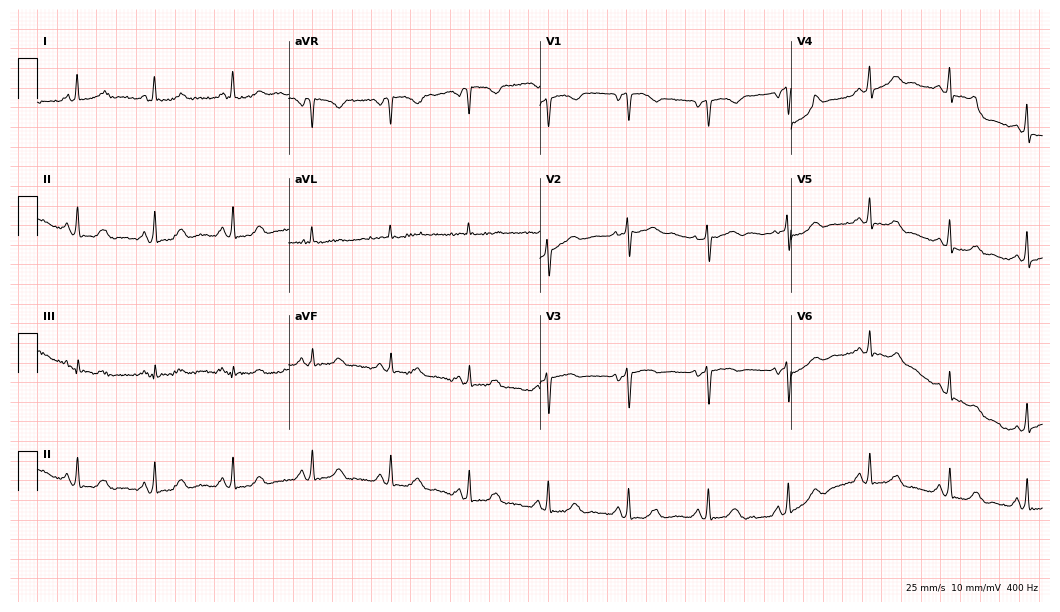
ECG — a female patient, 55 years old. Labelled as a normal ECG.